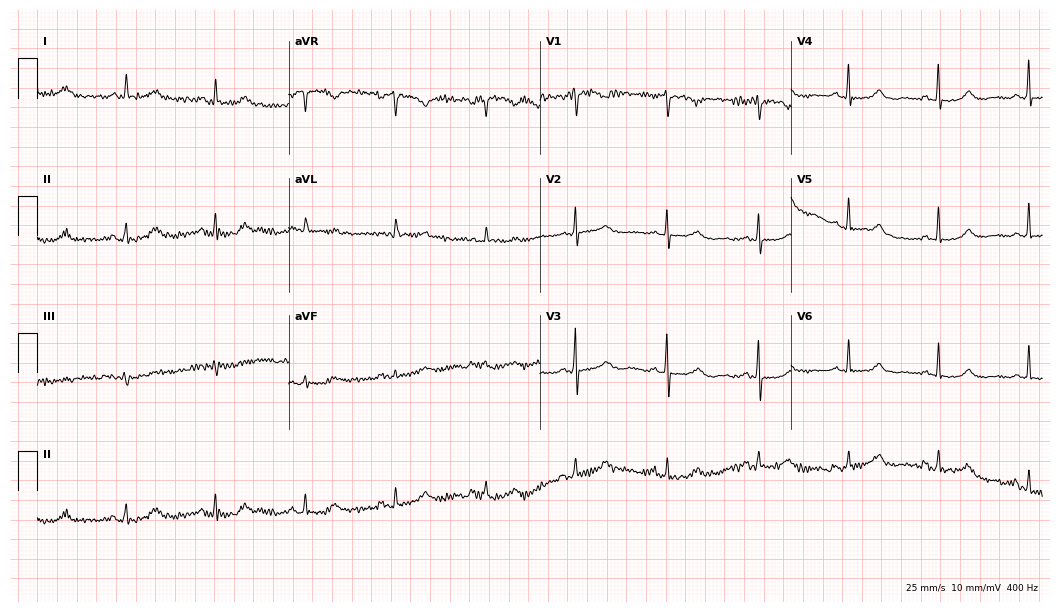
ECG — a 55-year-old female. Labelled as a normal ECG.